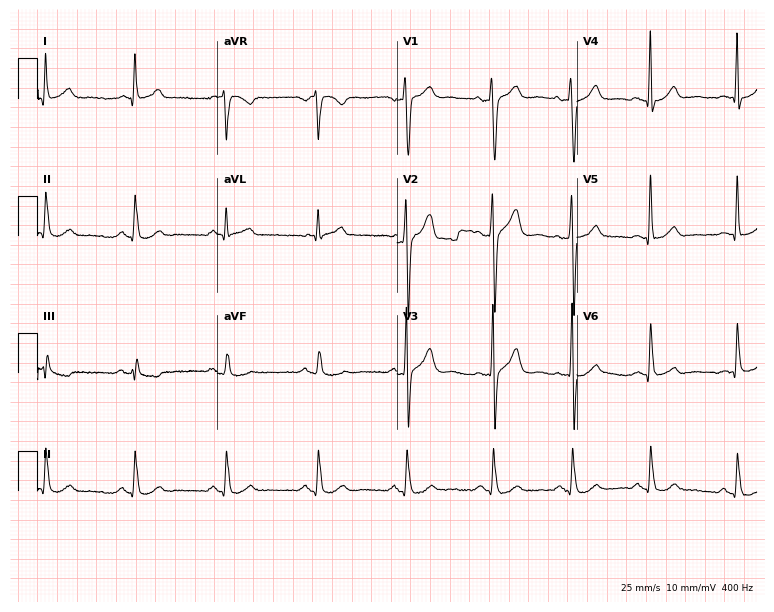
Electrocardiogram, a 48-year-old male. Overall reading on record: normal ECG.